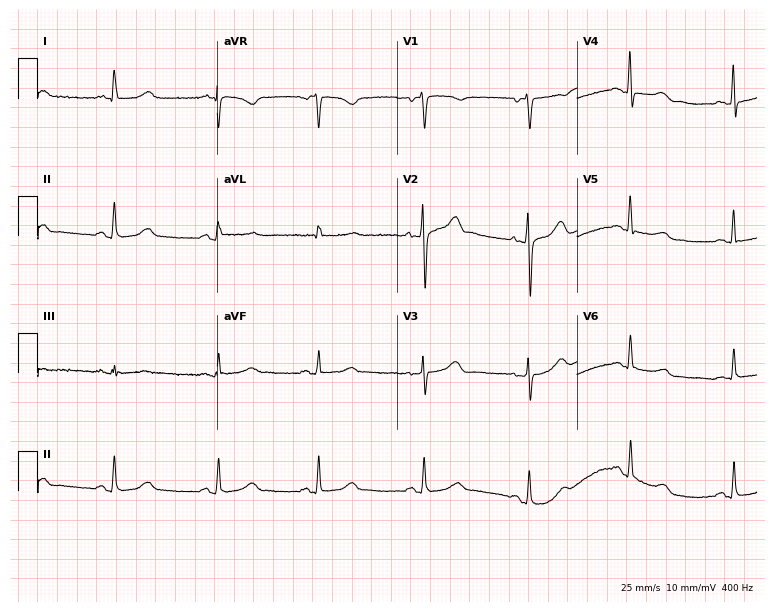
12-lead ECG from a 58-year-old female patient (7.3-second recording at 400 Hz). Recorded interpretation: within normal limits.